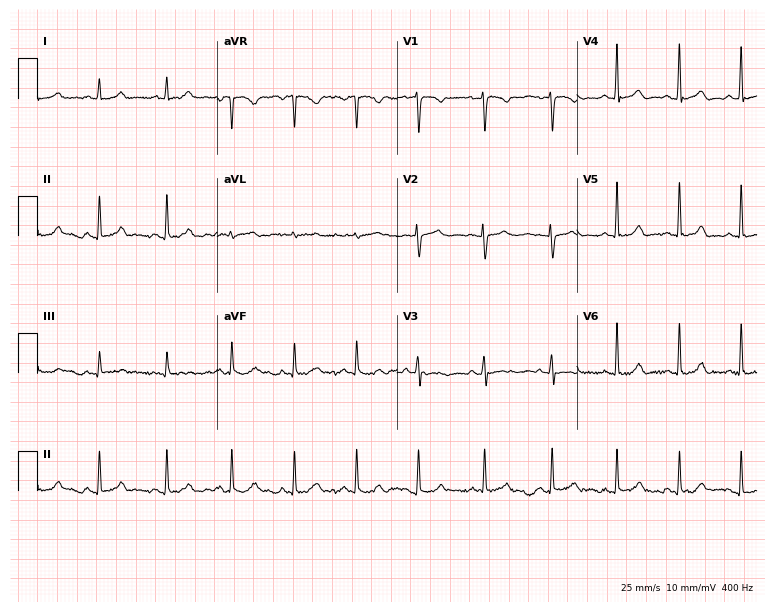
ECG — a 20-year-old woman. Labelled as a normal ECG.